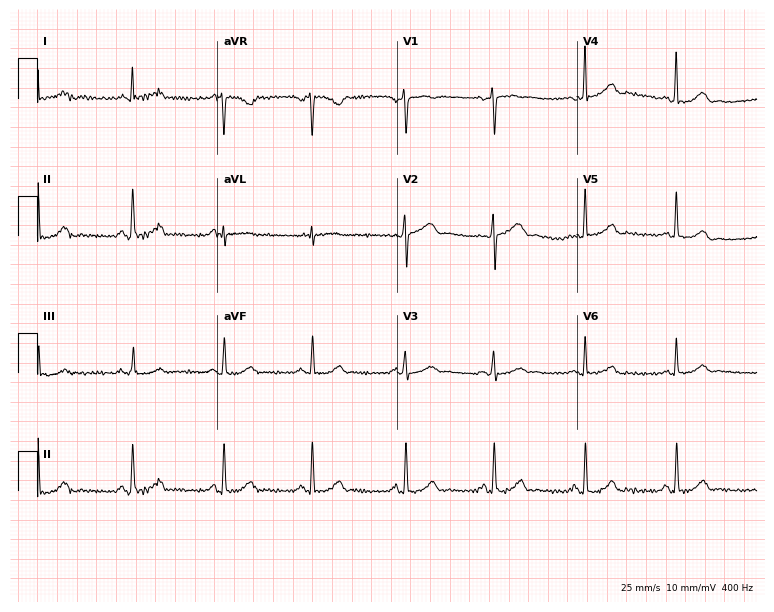
12-lead ECG from a 54-year-old female patient (7.3-second recording at 400 Hz). Recorded interpretation: within normal limits.